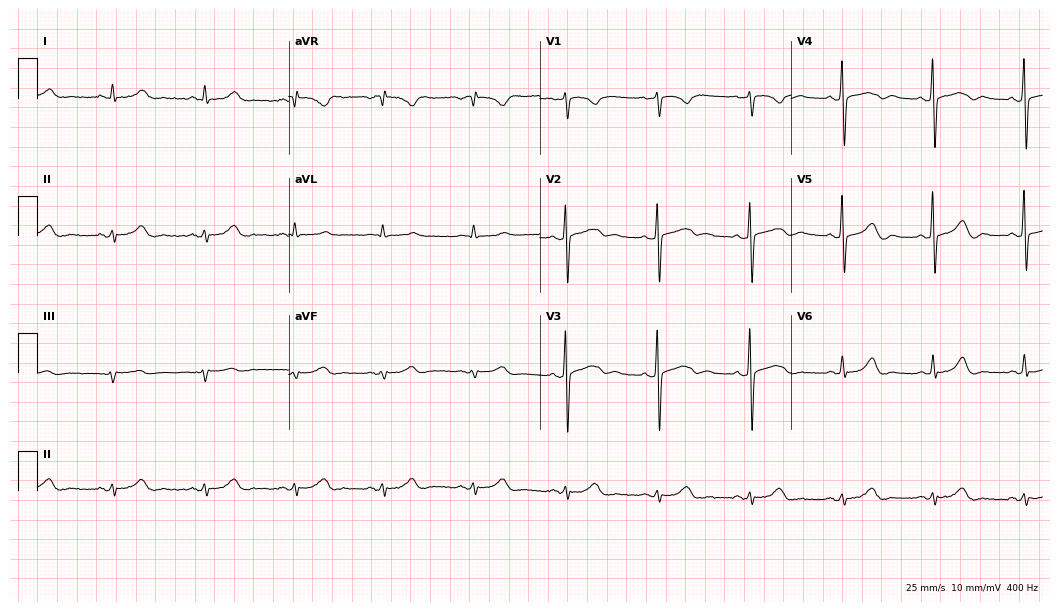
Standard 12-lead ECG recorded from a 51-year-old male. Read as a normal ECG.